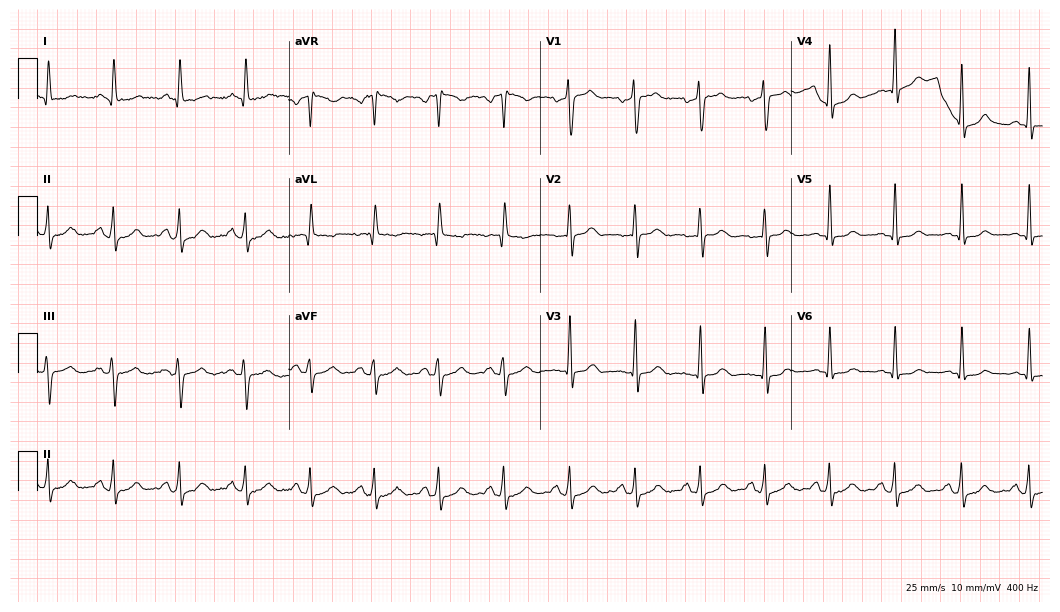
Resting 12-lead electrocardiogram. Patient: a 47-year-old female. None of these six findings is recorded: first-degree AV block, right bundle branch block, left bundle branch block, sinus bradycardia, atrial fibrillation, sinus tachycardia.